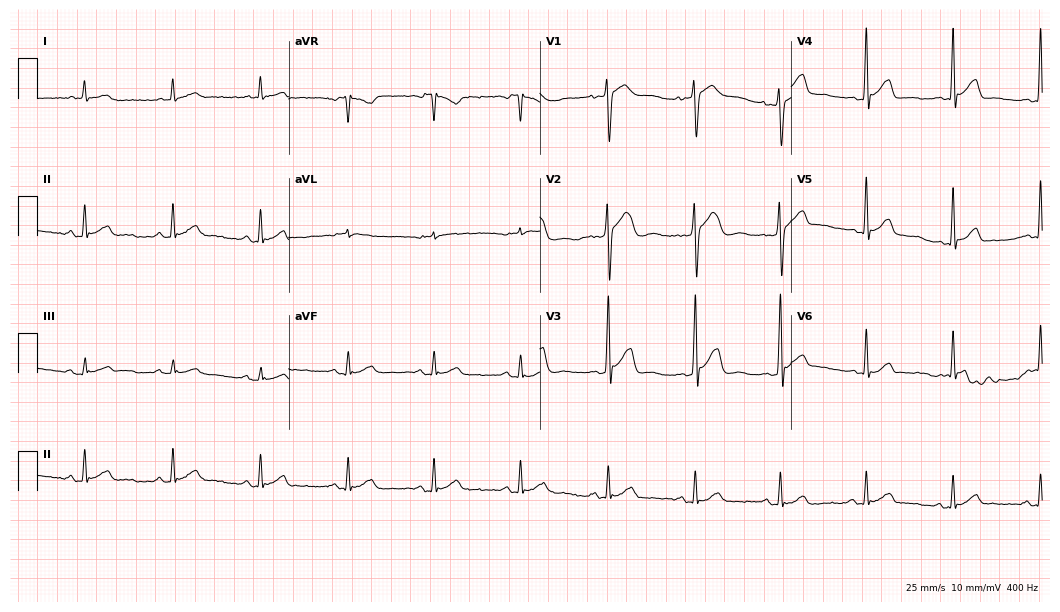
Standard 12-lead ECG recorded from a male, 31 years old. Read as a normal ECG.